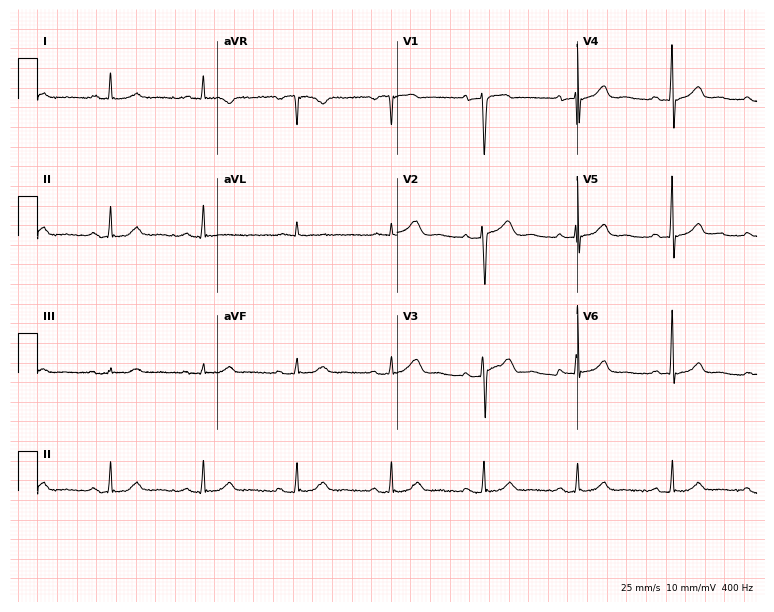
Resting 12-lead electrocardiogram (7.3-second recording at 400 Hz). Patient: a man, 66 years old. None of these six findings is recorded: first-degree AV block, right bundle branch block (RBBB), left bundle branch block (LBBB), sinus bradycardia, atrial fibrillation (AF), sinus tachycardia.